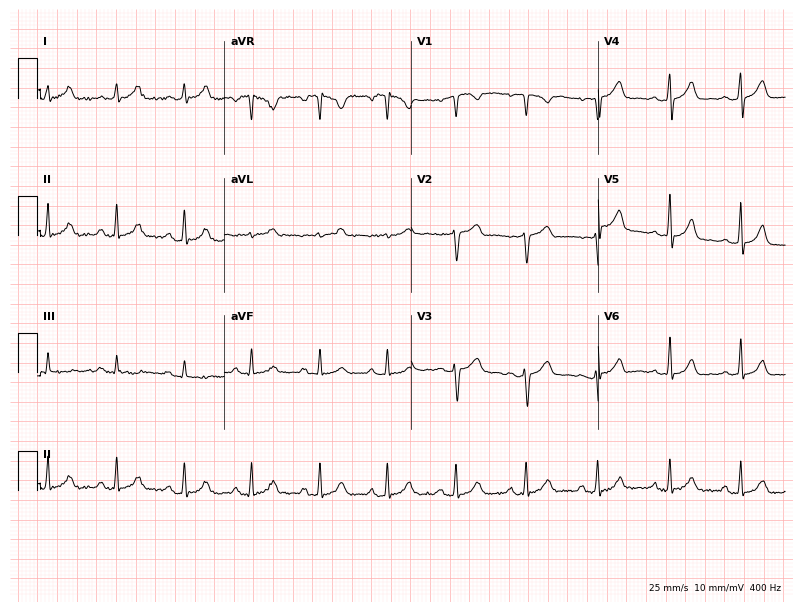
12-lead ECG from a female, 30 years old. Labelled as a normal ECG.